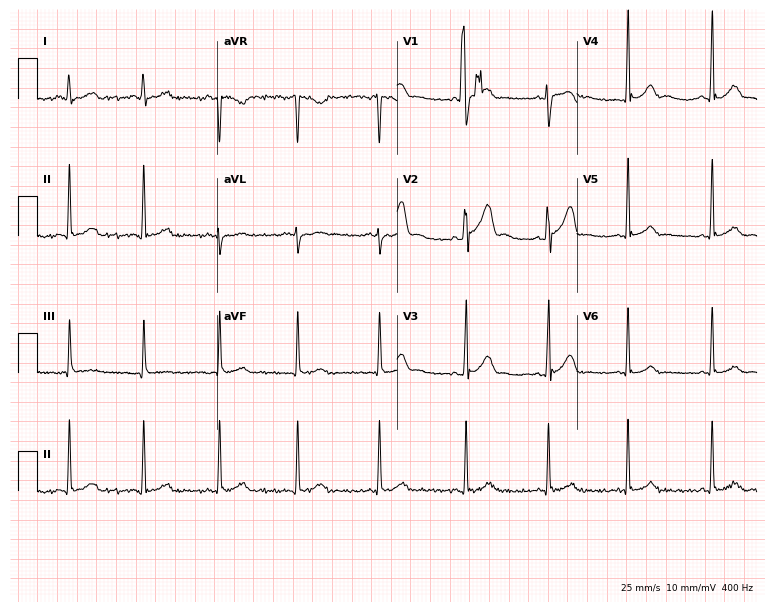
12-lead ECG from a man, 30 years old (7.3-second recording at 400 Hz). Recorded interpretation: within normal limits.